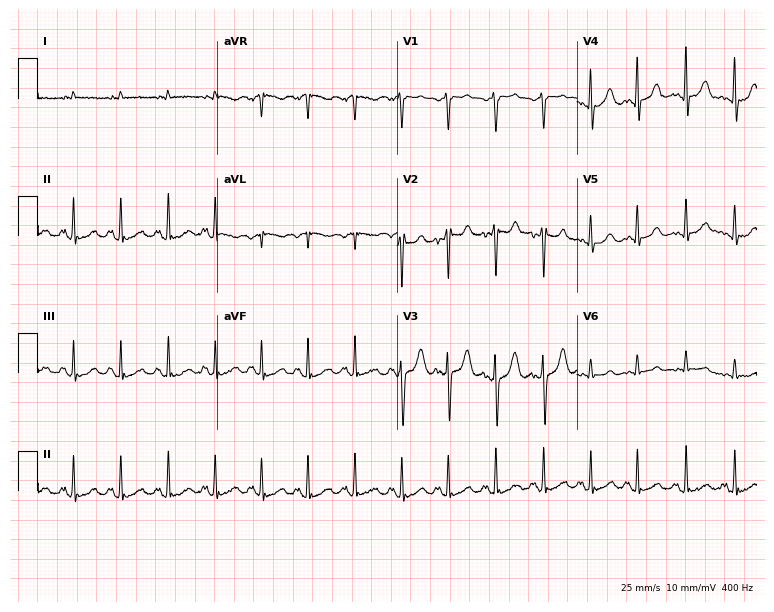
12-lead ECG (7.3-second recording at 400 Hz) from a male, 45 years old. Findings include sinus tachycardia (a sinus rate of 100 beats per minute or more).